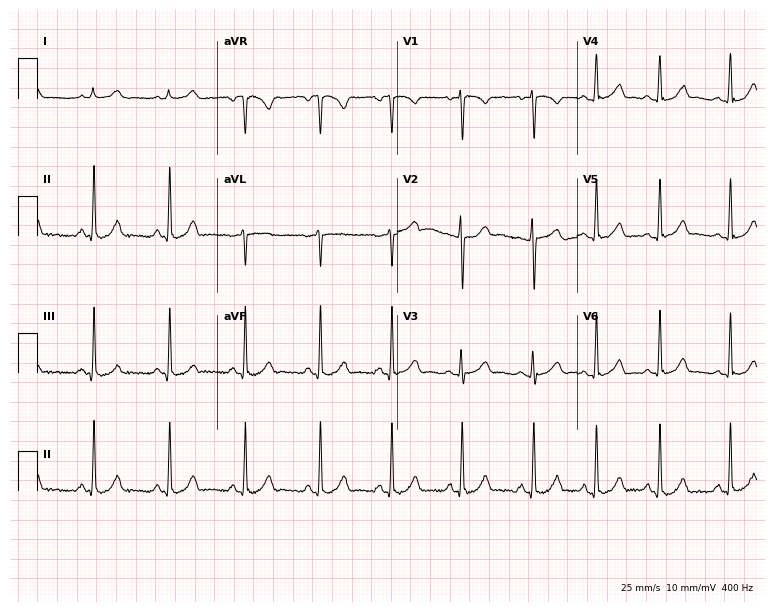
Standard 12-lead ECG recorded from a 19-year-old female. Read as a normal ECG.